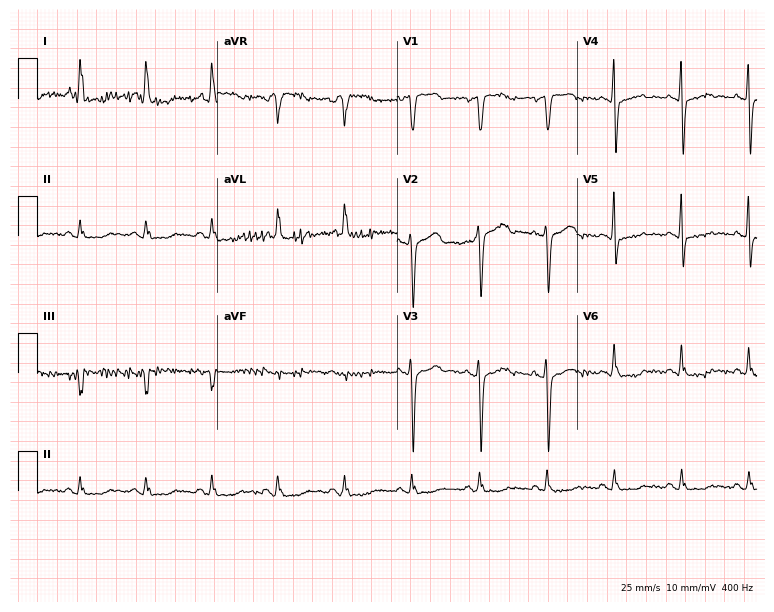
12-lead ECG (7.3-second recording at 400 Hz) from a 67-year-old female. Screened for six findings — first-degree AV block, right bundle branch block, left bundle branch block, sinus bradycardia, atrial fibrillation, sinus tachycardia — none is recorded. Only these six findings were labelled.